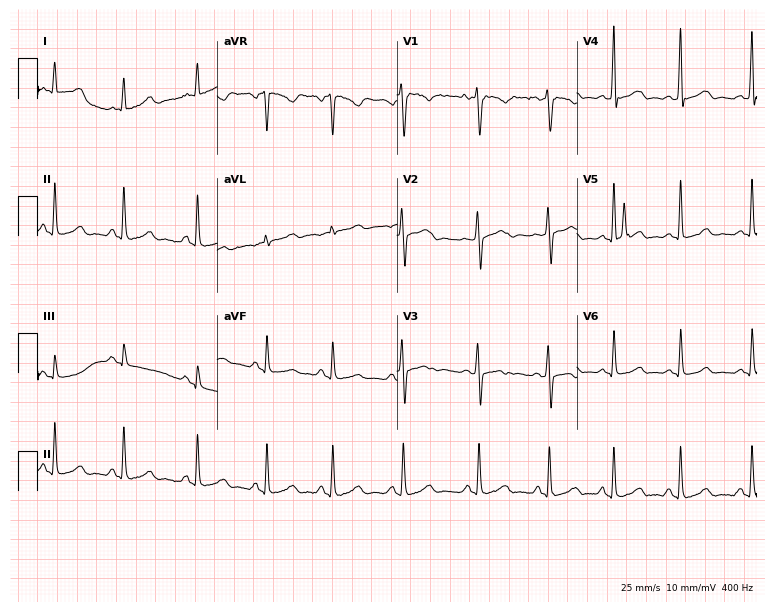
12-lead ECG from a 21-year-old female (7.3-second recording at 400 Hz). No first-degree AV block, right bundle branch block (RBBB), left bundle branch block (LBBB), sinus bradycardia, atrial fibrillation (AF) or sinus tachycardia recorded for this tracing.